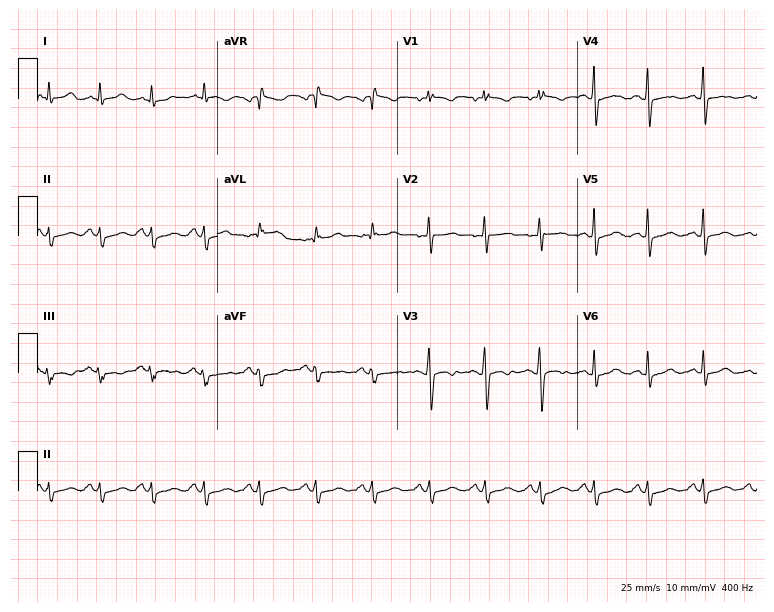
Electrocardiogram, a 17-year-old female patient. Of the six screened findings (first-degree AV block, right bundle branch block, left bundle branch block, sinus bradycardia, atrial fibrillation, sinus tachycardia), none is recorded.